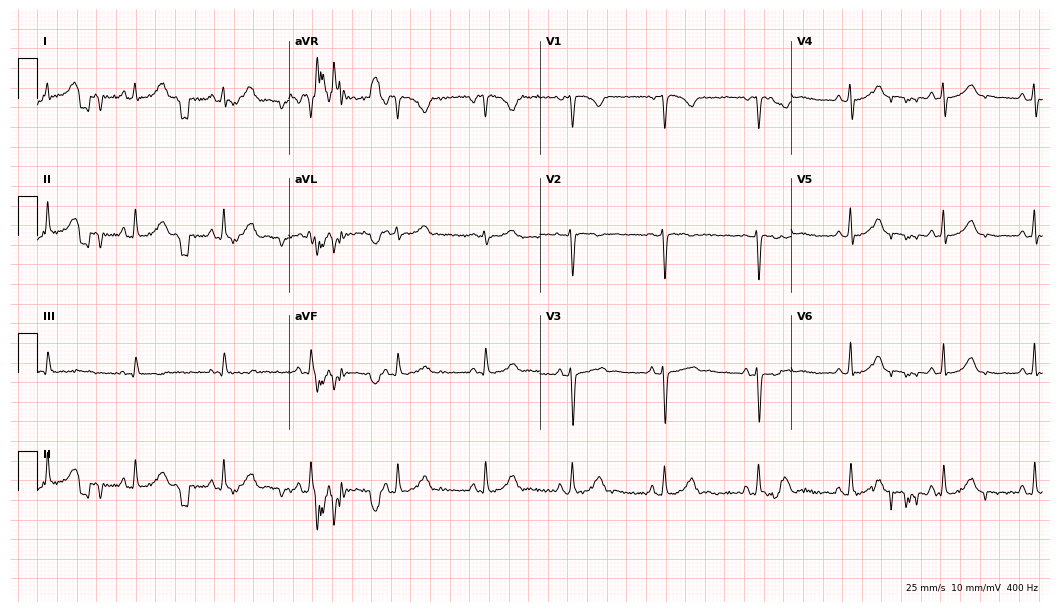
12-lead ECG from a woman, 23 years old. Screened for six findings — first-degree AV block, right bundle branch block, left bundle branch block, sinus bradycardia, atrial fibrillation, sinus tachycardia — none is recorded.